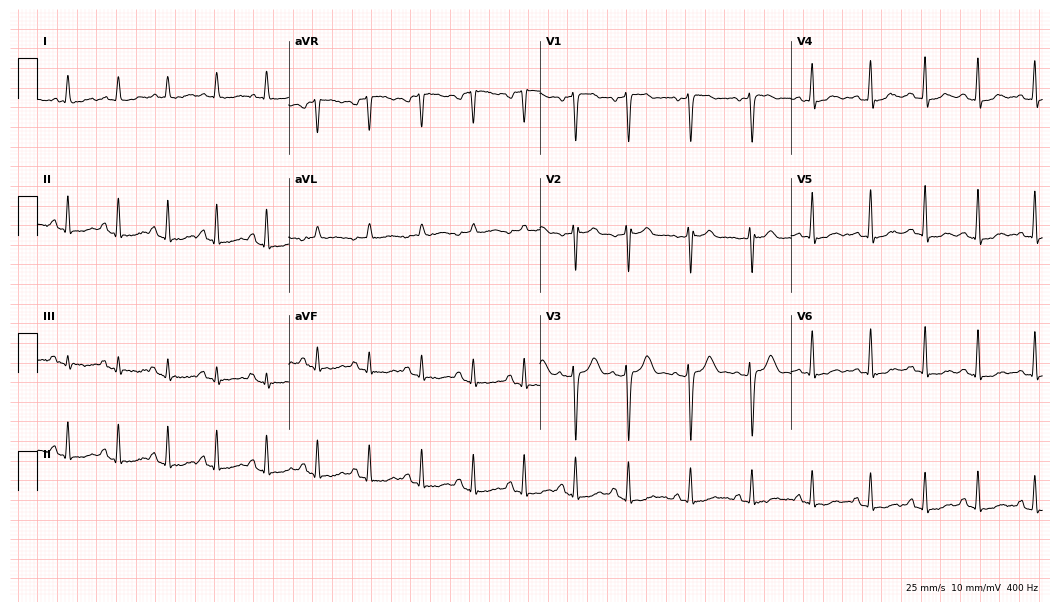
12-lead ECG from a woman, 34 years old (10.2-second recording at 400 Hz). Shows sinus tachycardia (a sinus rate of 100 beats per minute or more).